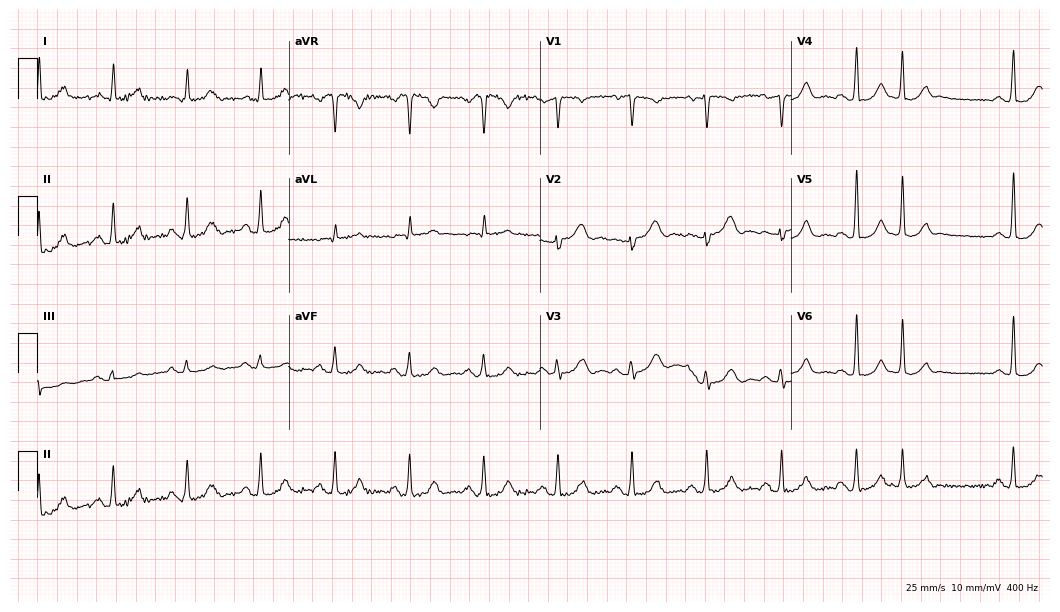
Standard 12-lead ECG recorded from a 71-year-old man. None of these six findings is recorded: first-degree AV block, right bundle branch block, left bundle branch block, sinus bradycardia, atrial fibrillation, sinus tachycardia.